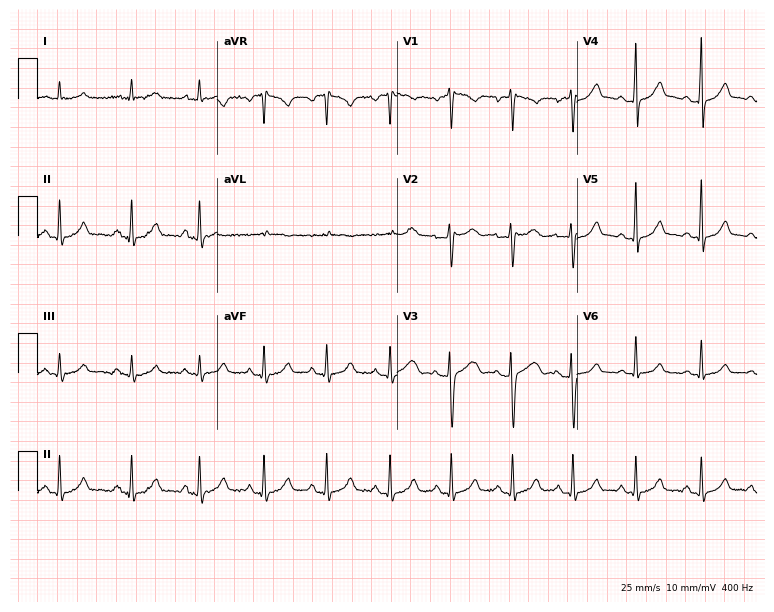
12-lead ECG from a female patient, 21 years old. Recorded interpretation: within normal limits.